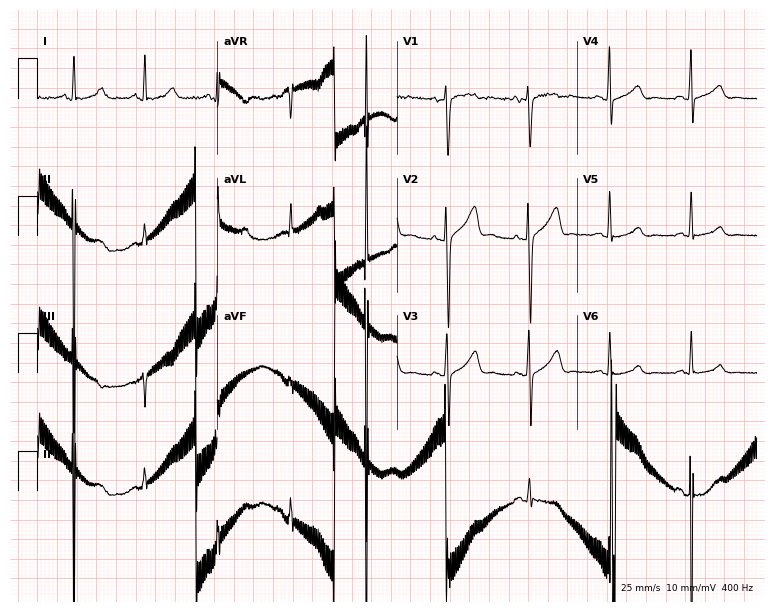
Resting 12-lead electrocardiogram (7.3-second recording at 400 Hz). Patient: a 37-year-old woman. None of these six findings is recorded: first-degree AV block, right bundle branch block, left bundle branch block, sinus bradycardia, atrial fibrillation, sinus tachycardia. Other findings, if any, are not listed.